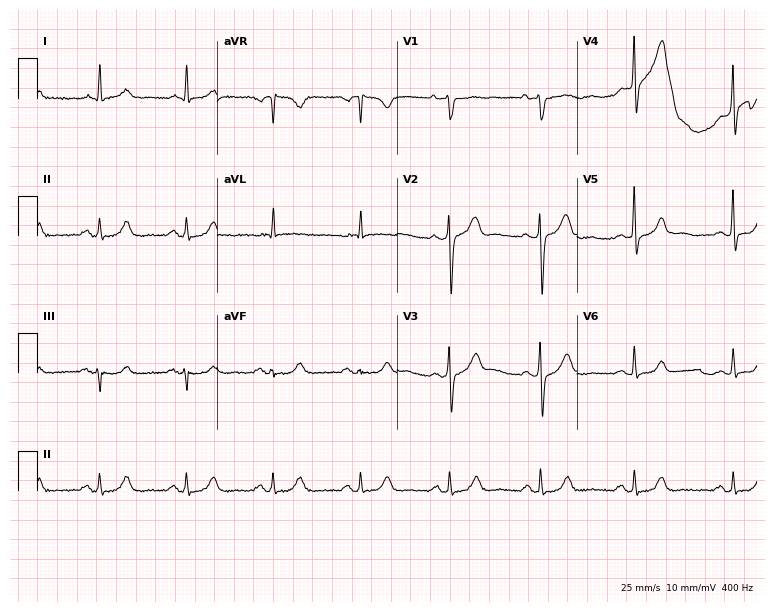
12-lead ECG from a female, 75 years old. Recorded interpretation: within normal limits.